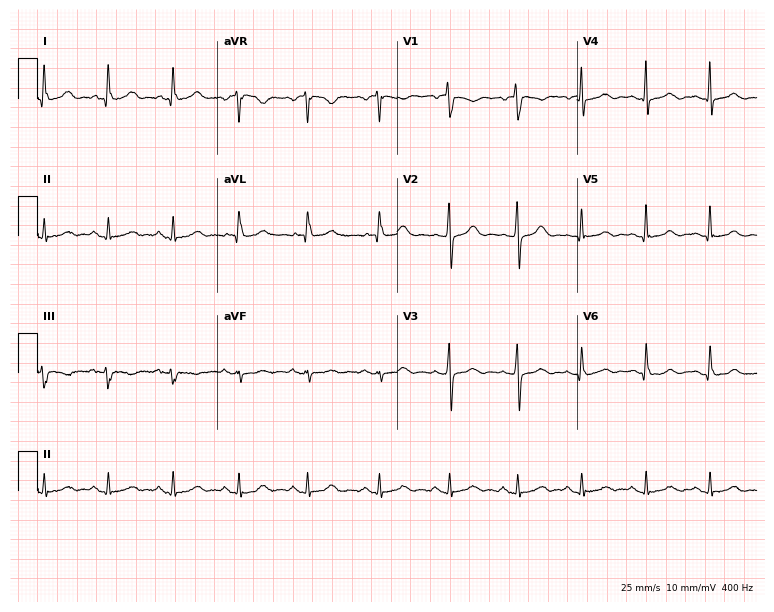
Resting 12-lead electrocardiogram (7.3-second recording at 400 Hz). Patient: a 55-year-old woman. Read as a normal ECG.